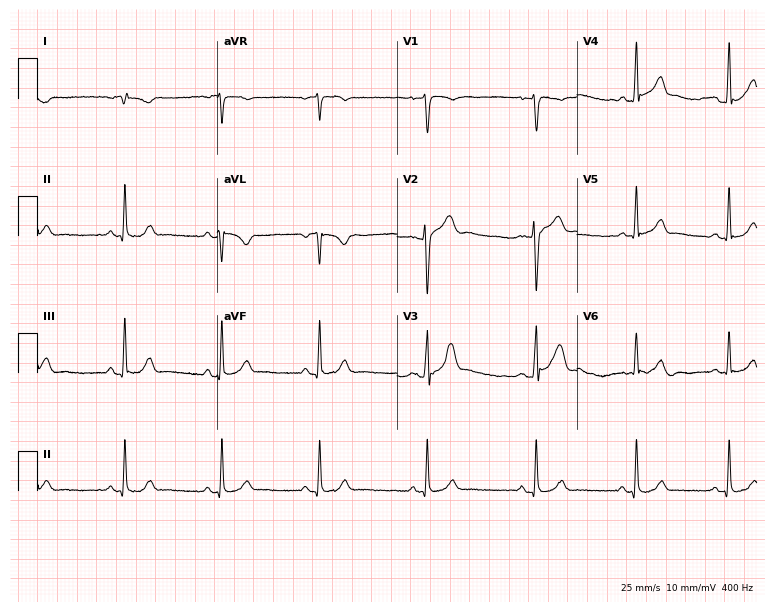
Electrocardiogram, a 45-year-old man. Of the six screened findings (first-degree AV block, right bundle branch block, left bundle branch block, sinus bradycardia, atrial fibrillation, sinus tachycardia), none is recorded. Other findings, if any, are not listed.